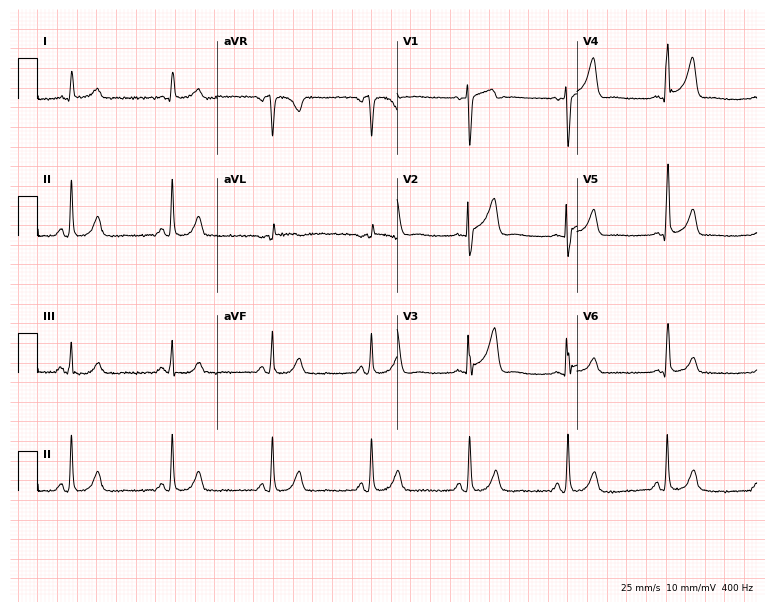
Resting 12-lead electrocardiogram (7.3-second recording at 400 Hz). Patient: a 65-year-old male. None of these six findings is recorded: first-degree AV block, right bundle branch block, left bundle branch block, sinus bradycardia, atrial fibrillation, sinus tachycardia. Findings outside these six are not listed.